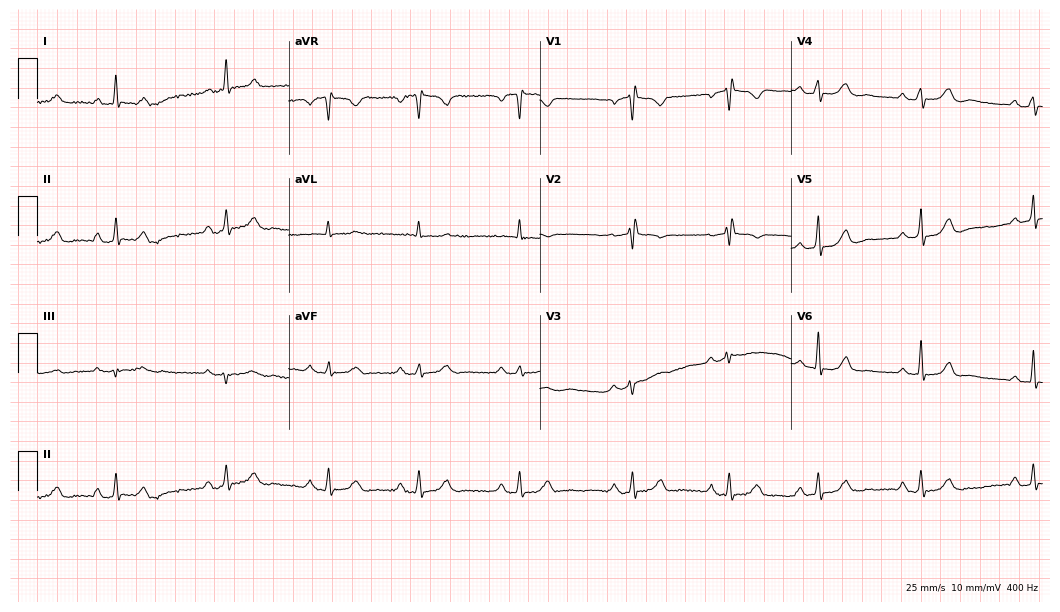
Resting 12-lead electrocardiogram (10.2-second recording at 400 Hz). Patient: a female, 61 years old. None of these six findings is recorded: first-degree AV block, right bundle branch block, left bundle branch block, sinus bradycardia, atrial fibrillation, sinus tachycardia. Only these six findings were labelled.